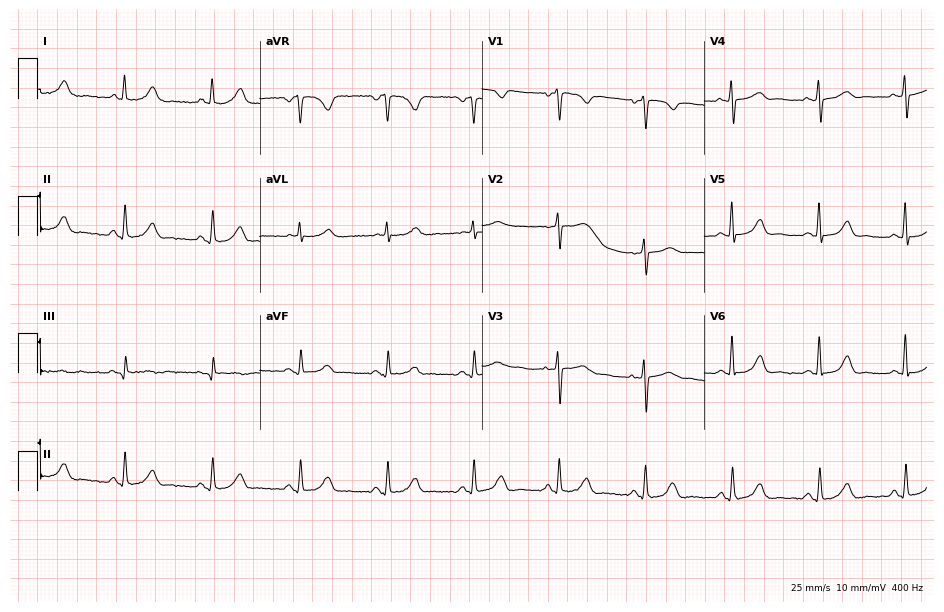
Electrocardiogram, a female patient, 57 years old. Overall reading on record: normal ECG.